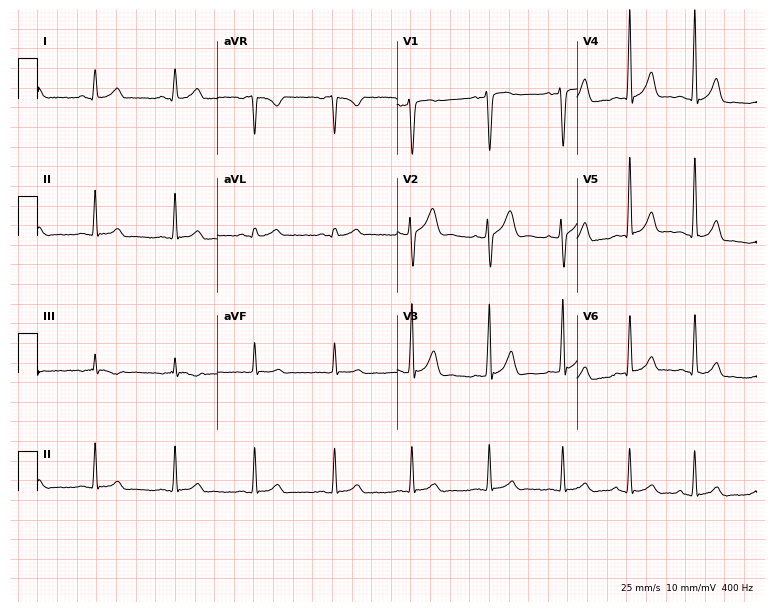
12-lead ECG from a 23-year-old male. No first-degree AV block, right bundle branch block (RBBB), left bundle branch block (LBBB), sinus bradycardia, atrial fibrillation (AF) or sinus tachycardia recorded for this tracing. Only these six findings were labelled.